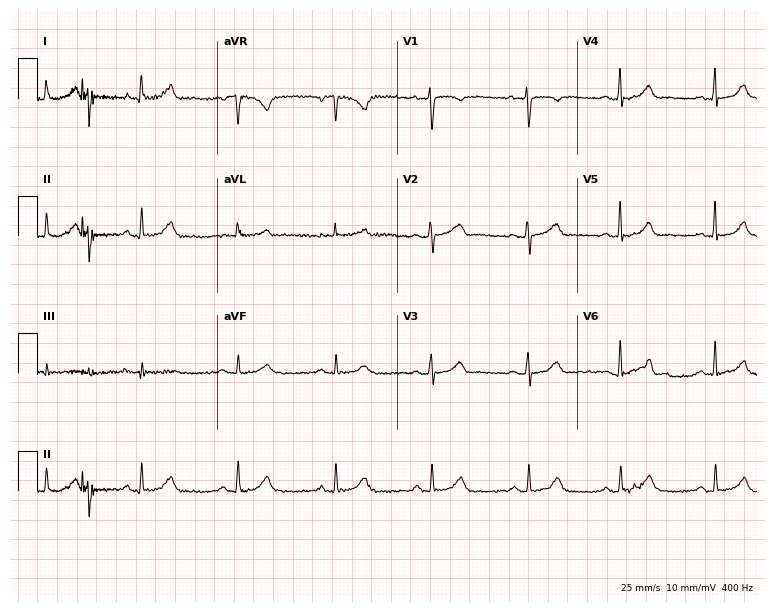
ECG (7.3-second recording at 400 Hz) — a woman, 50 years old. Labelled as a normal ECG.